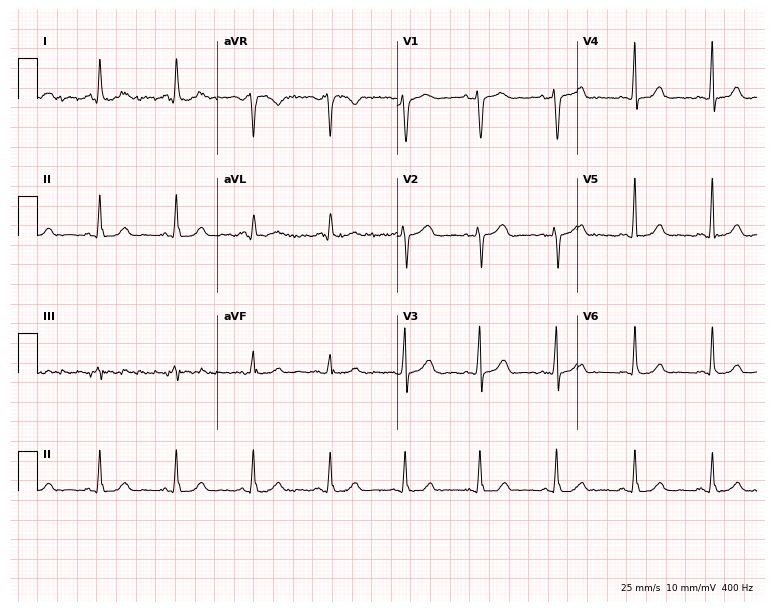
Resting 12-lead electrocardiogram (7.3-second recording at 400 Hz). Patient: a female, 62 years old. Read as a normal ECG.